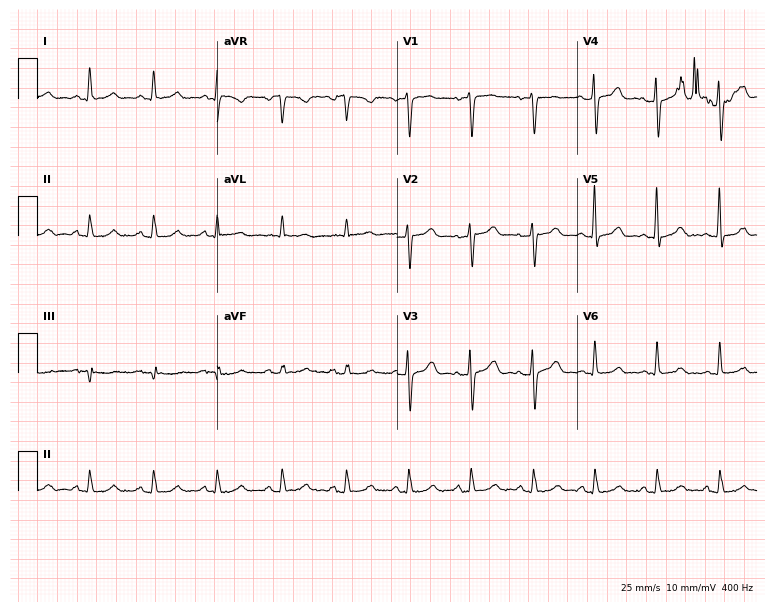
12-lead ECG from a 51-year-old man. Recorded interpretation: within normal limits.